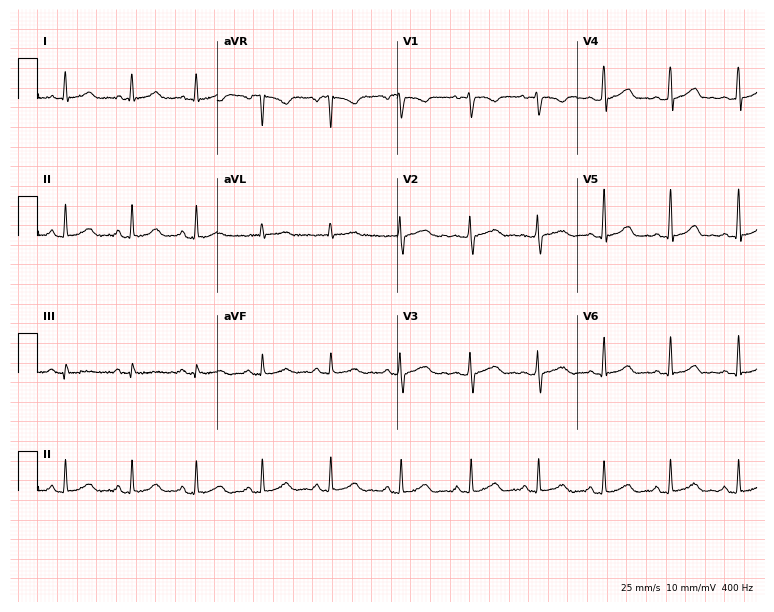
ECG — a 23-year-old woman. Labelled as a normal ECG.